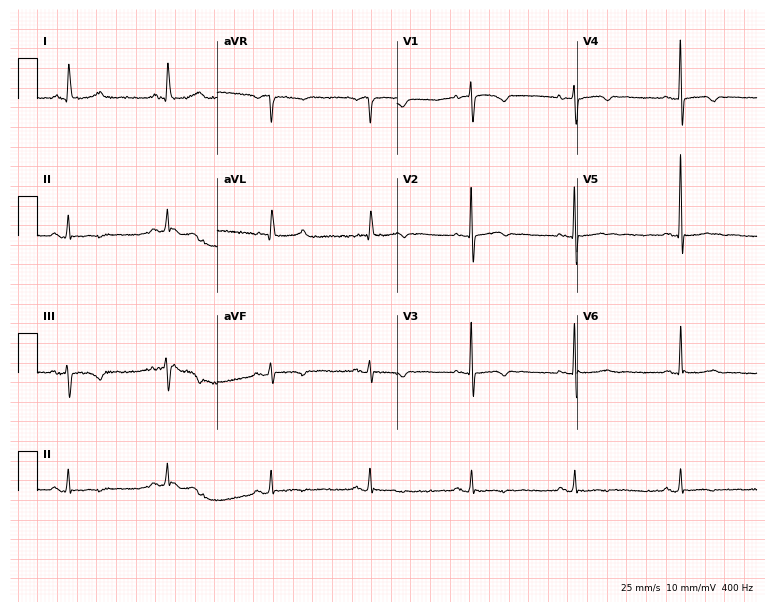
12-lead ECG (7.3-second recording at 400 Hz) from a woman, 80 years old. Screened for six findings — first-degree AV block, right bundle branch block, left bundle branch block, sinus bradycardia, atrial fibrillation, sinus tachycardia — none is recorded. Only these six findings were labelled.